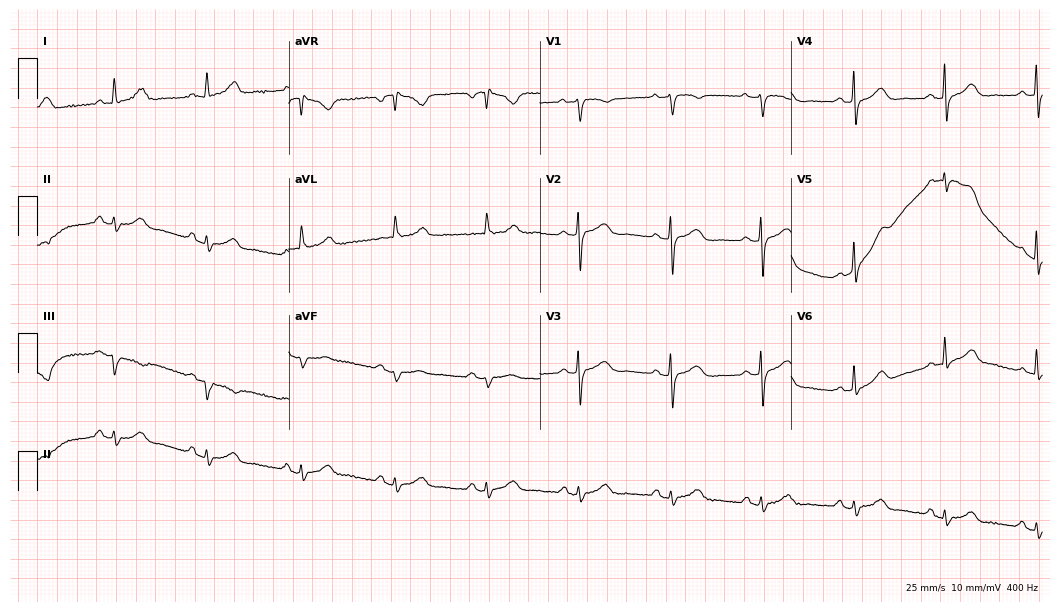
Standard 12-lead ECG recorded from an 83-year-old female patient. None of these six findings is recorded: first-degree AV block, right bundle branch block, left bundle branch block, sinus bradycardia, atrial fibrillation, sinus tachycardia.